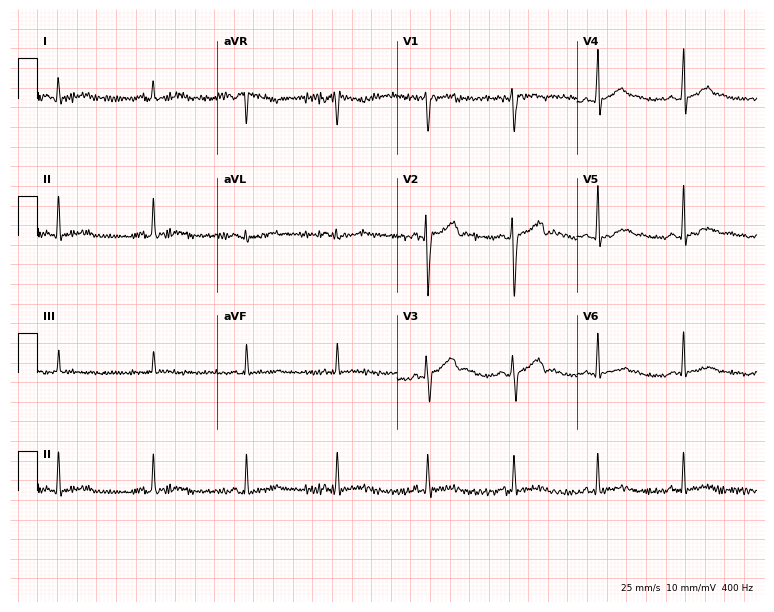
Resting 12-lead electrocardiogram. Patient: a male, 22 years old. None of these six findings is recorded: first-degree AV block, right bundle branch block (RBBB), left bundle branch block (LBBB), sinus bradycardia, atrial fibrillation (AF), sinus tachycardia. Other findings, if any, are not listed.